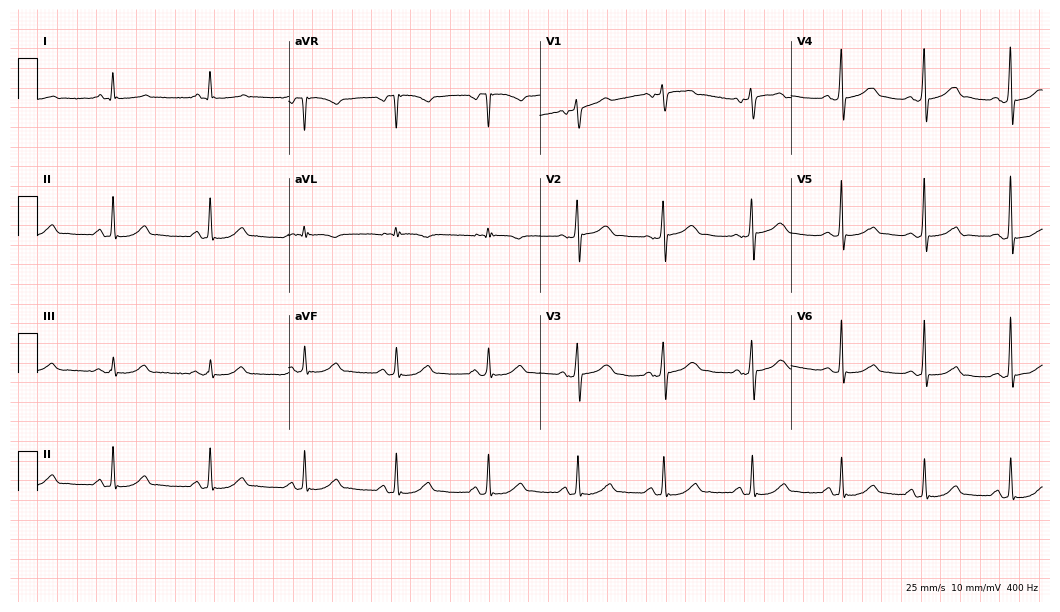
ECG — a woman, 53 years old. Labelled as a normal ECG.